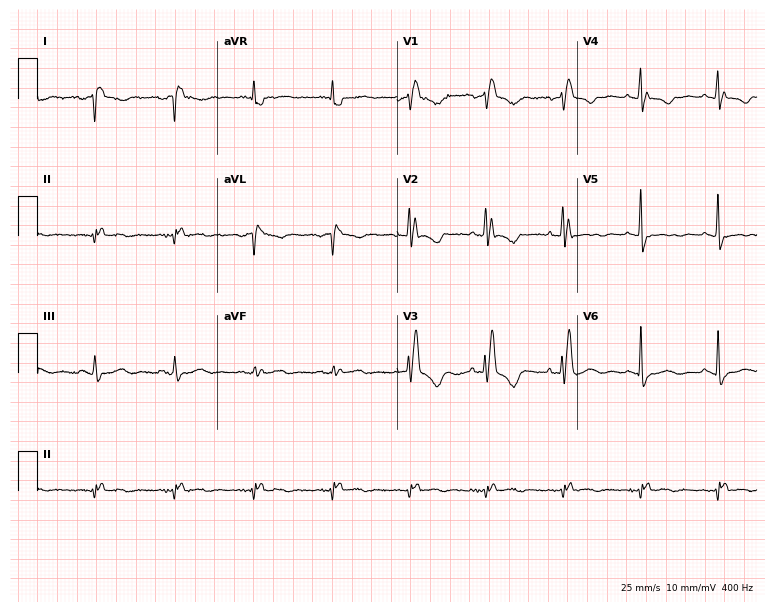
ECG (7.3-second recording at 400 Hz) — a female, 46 years old. Screened for six findings — first-degree AV block, right bundle branch block, left bundle branch block, sinus bradycardia, atrial fibrillation, sinus tachycardia — none is recorded. Only these six findings were labelled.